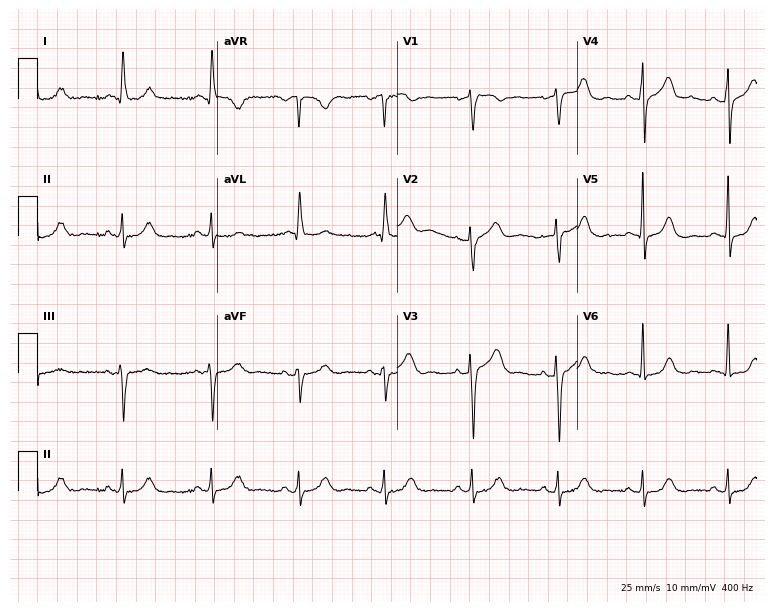
Standard 12-lead ECG recorded from a 68-year-old female patient (7.3-second recording at 400 Hz). None of these six findings is recorded: first-degree AV block, right bundle branch block, left bundle branch block, sinus bradycardia, atrial fibrillation, sinus tachycardia.